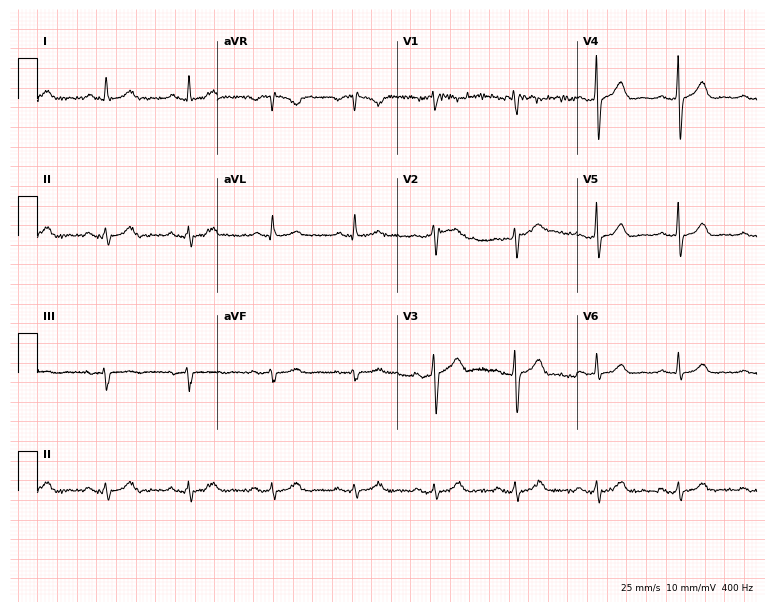
12-lead ECG from a 65-year-old man. Screened for six findings — first-degree AV block, right bundle branch block, left bundle branch block, sinus bradycardia, atrial fibrillation, sinus tachycardia — none is recorded. Other findings, if any, are not listed.